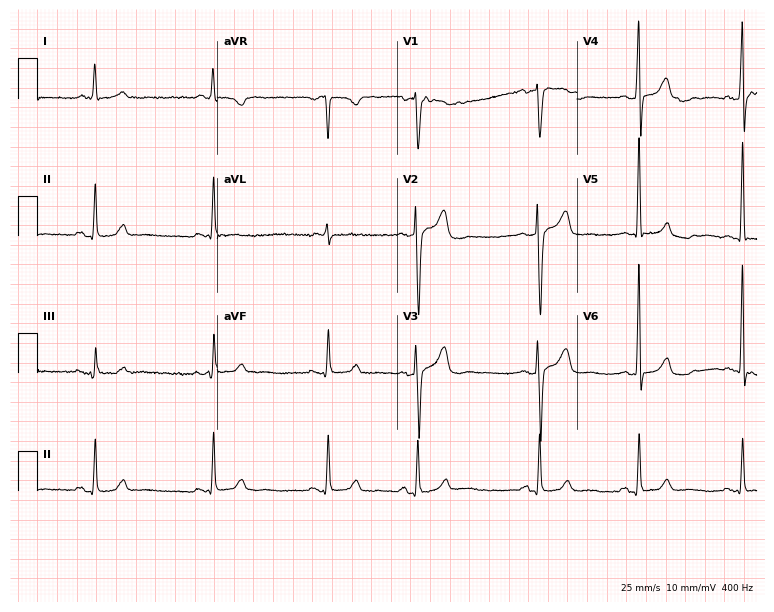
Resting 12-lead electrocardiogram (7.3-second recording at 400 Hz). Patient: a male, 77 years old. Read as a normal ECG.